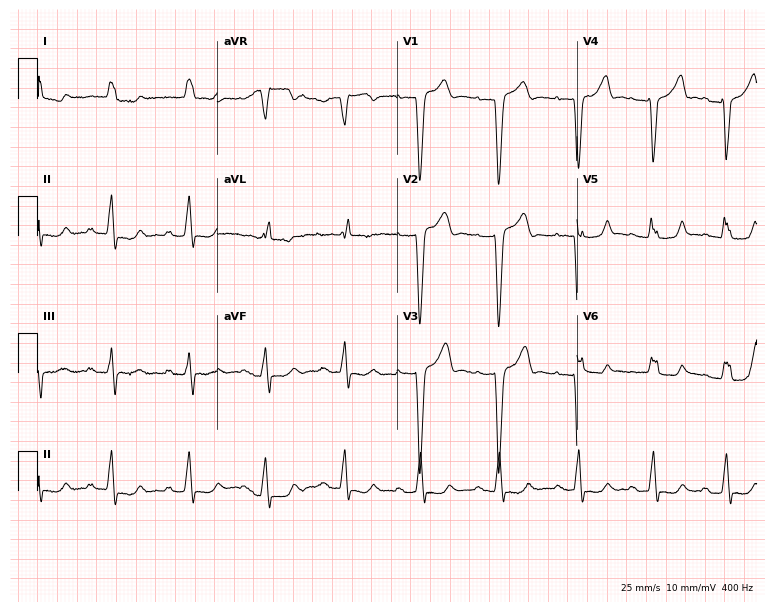
Resting 12-lead electrocardiogram. Patient: a 75-year-old female. The tracing shows first-degree AV block, left bundle branch block (LBBB).